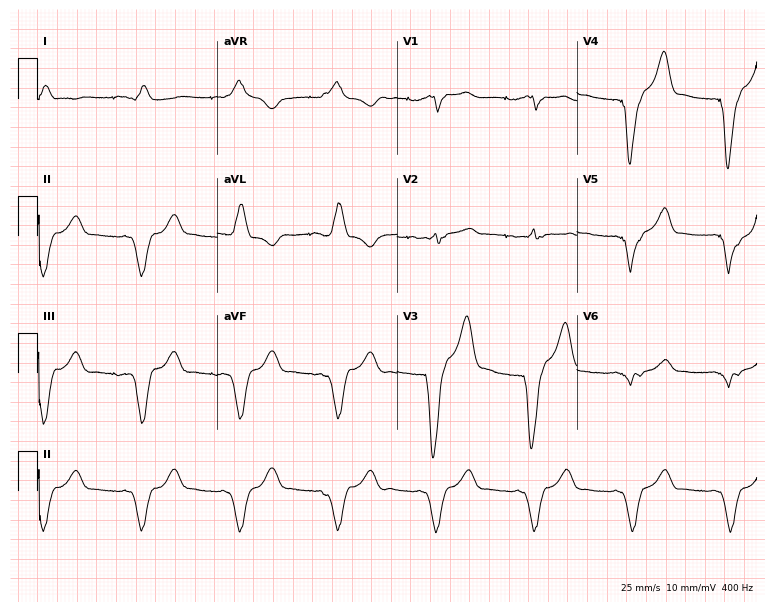
Standard 12-lead ECG recorded from a male, 39 years old. None of these six findings is recorded: first-degree AV block, right bundle branch block (RBBB), left bundle branch block (LBBB), sinus bradycardia, atrial fibrillation (AF), sinus tachycardia. Findings outside these six are not listed.